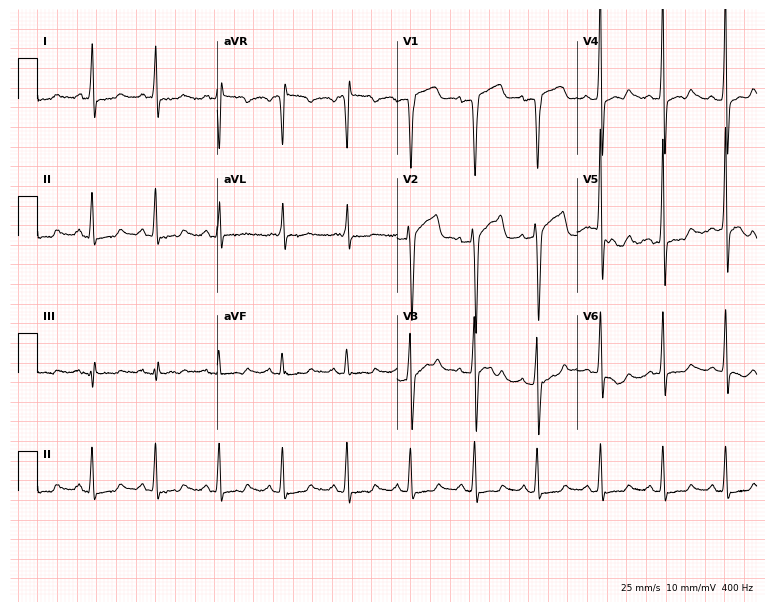
12-lead ECG from a 56-year-old woman (7.3-second recording at 400 Hz). No first-degree AV block, right bundle branch block (RBBB), left bundle branch block (LBBB), sinus bradycardia, atrial fibrillation (AF) or sinus tachycardia recorded for this tracing.